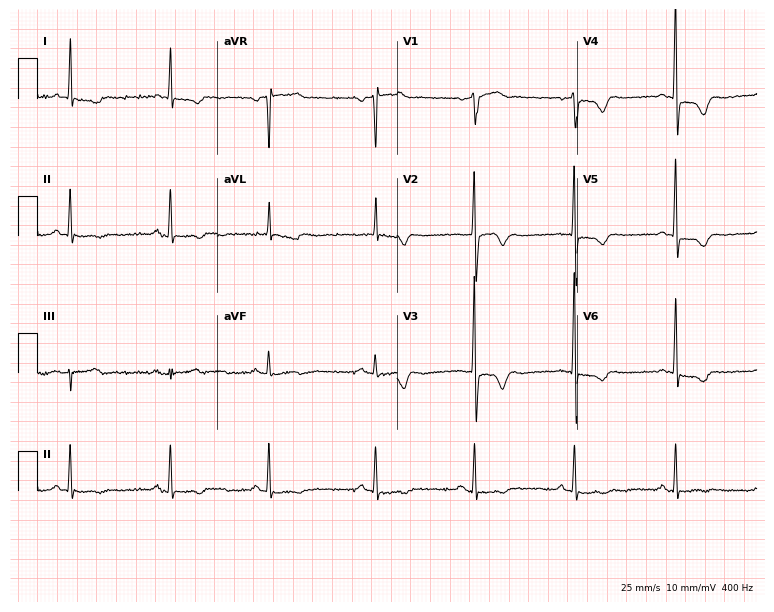
Electrocardiogram (7.3-second recording at 400 Hz), a female patient, 52 years old. Of the six screened findings (first-degree AV block, right bundle branch block (RBBB), left bundle branch block (LBBB), sinus bradycardia, atrial fibrillation (AF), sinus tachycardia), none is recorded.